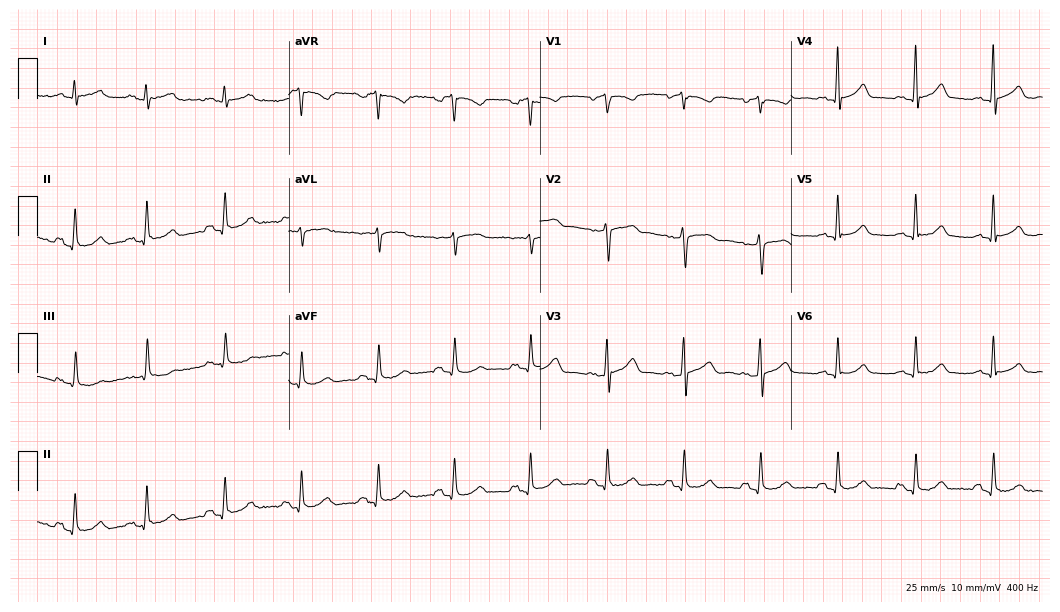
ECG (10.2-second recording at 400 Hz) — a 68-year-old female patient. Screened for six findings — first-degree AV block, right bundle branch block, left bundle branch block, sinus bradycardia, atrial fibrillation, sinus tachycardia — none is recorded. Findings outside these six are not listed.